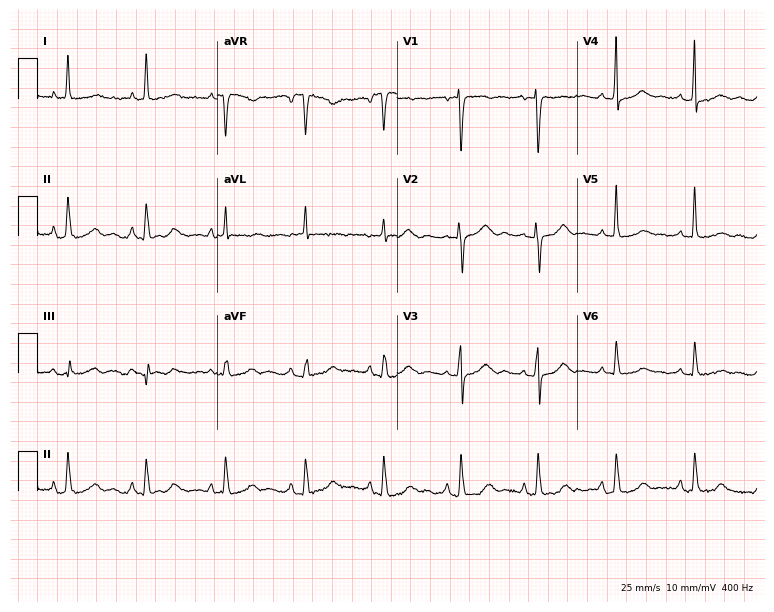
Resting 12-lead electrocardiogram. Patient: a 77-year-old woman. Read as a normal ECG.